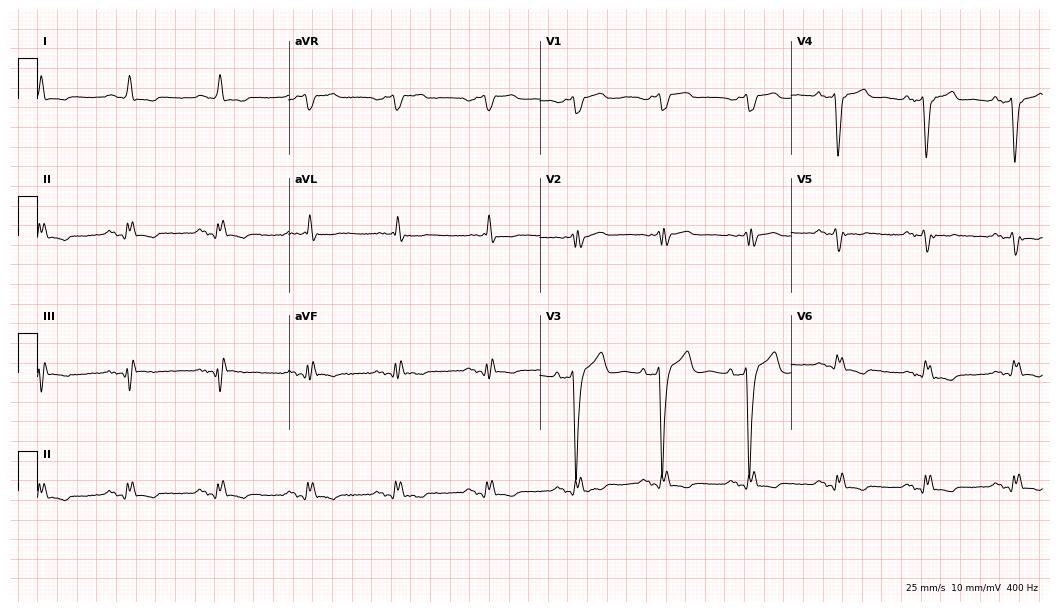
Electrocardiogram, a male, 67 years old. Interpretation includes left bundle branch block.